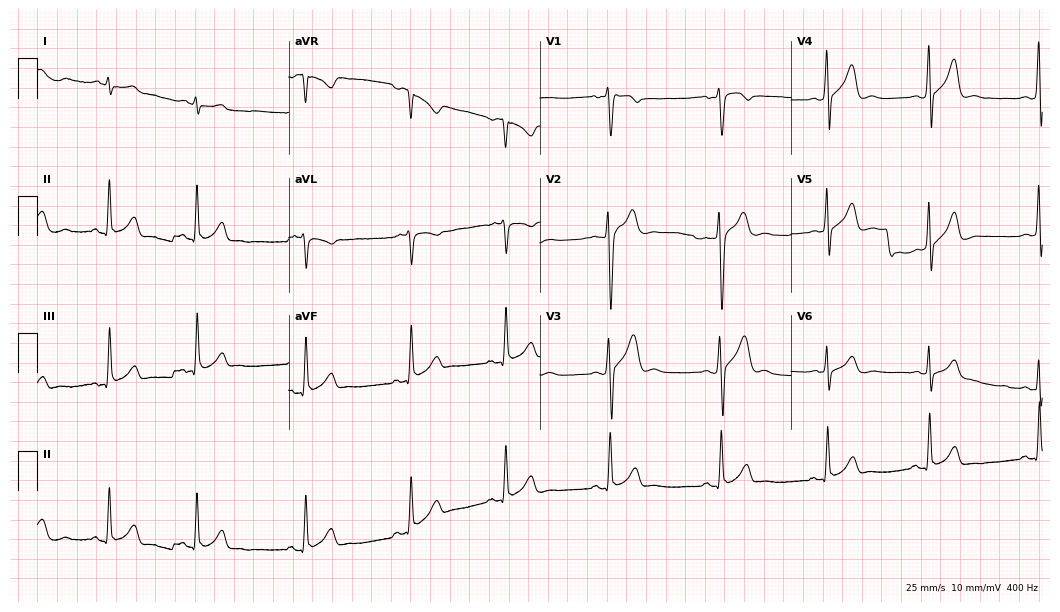
Electrocardiogram, a 35-year-old man. Overall reading on record: normal ECG.